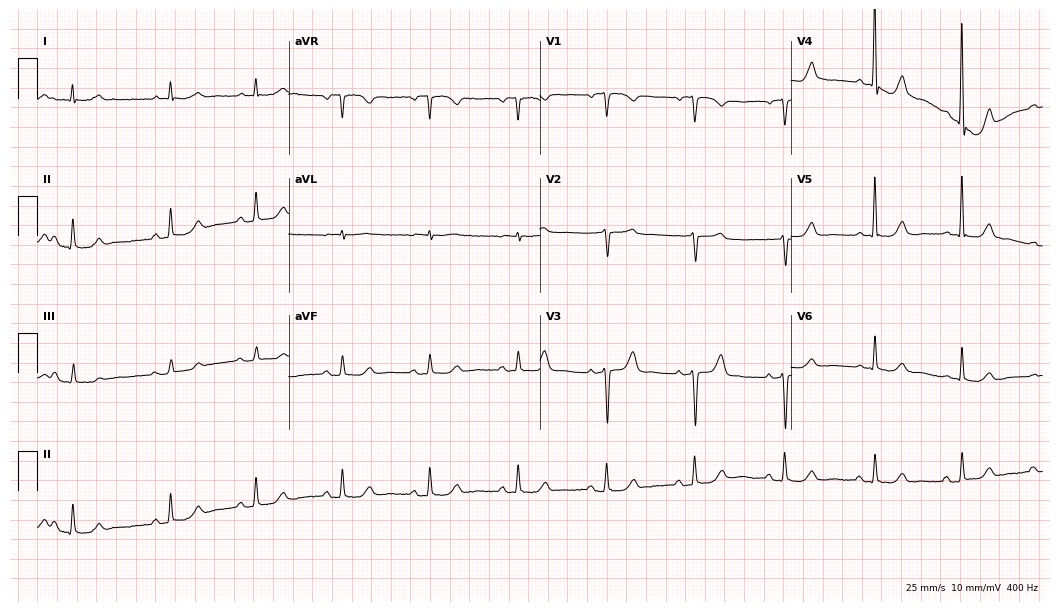
Standard 12-lead ECG recorded from a 75-year-old female (10.2-second recording at 400 Hz). None of these six findings is recorded: first-degree AV block, right bundle branch block, left bundle branch block, sinus bradycardia, atrial fibrillation, sinus tachycardia.